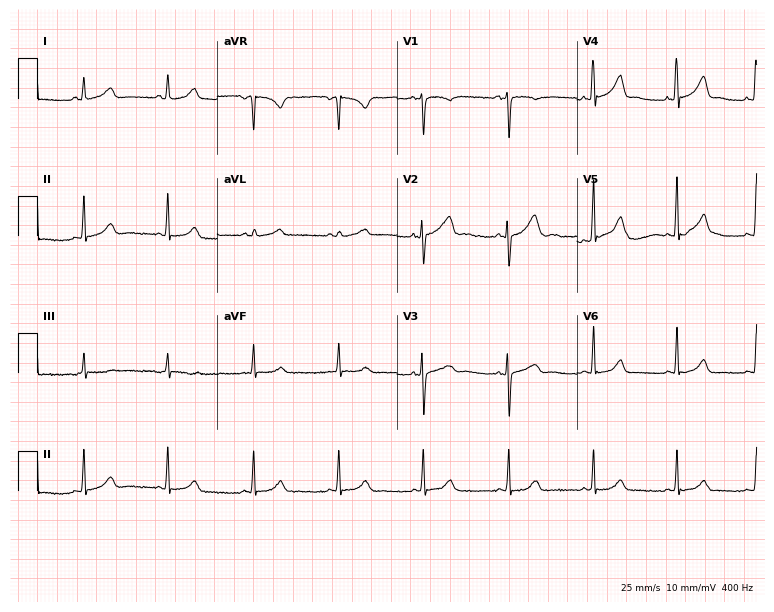
12-lead ECG from a female, 27 years old. No first-degree AV block, right bundle branch block, left bundle branch block, sinus bradycardia, atrial fibrillation or sinus tachycardia recorded for this tracing.